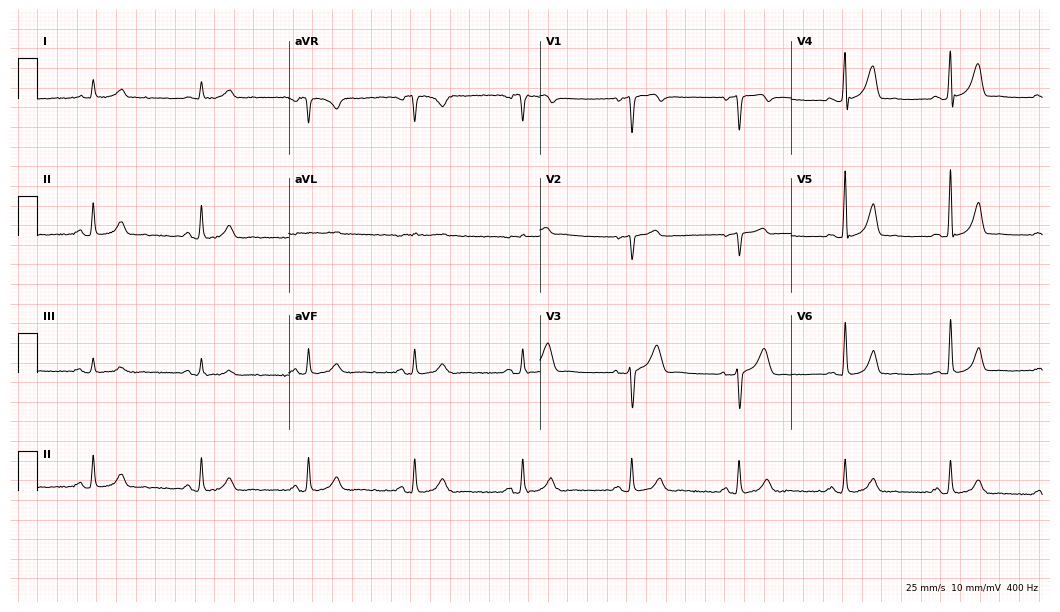
ECG (10.2-second recording at 400 Hz) — a 59-year-old male patient. Labelled as a normal ECG.